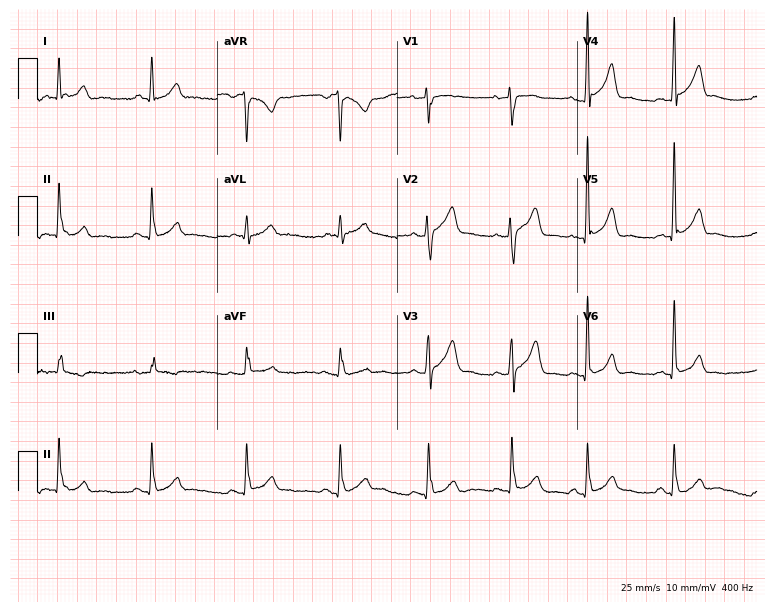
Resting 12-lead electrocardiogram (7.3-second recording at 400 Hz). Patient: a male, 44 years old. Read as a normal ECG.